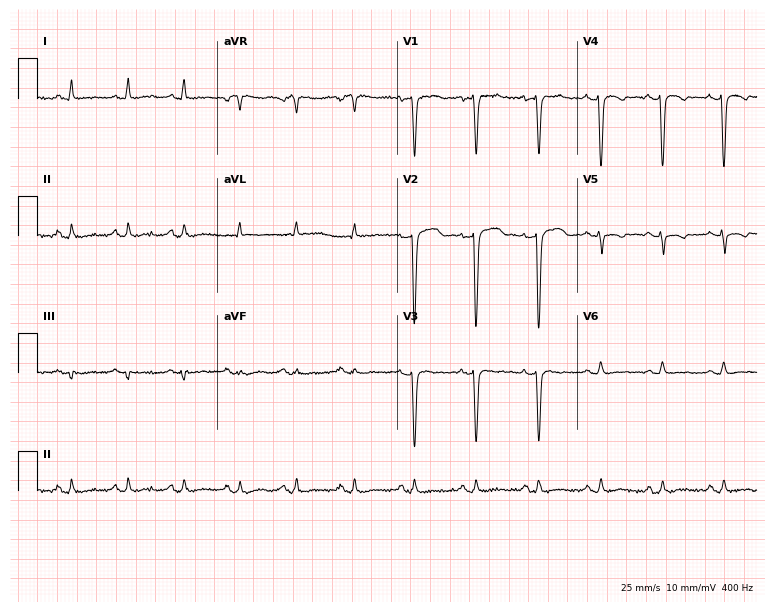
12-lead ECG (7.3-second recording at 400 Hz) from a 38-year-old male. Labelled as a normal ECG.